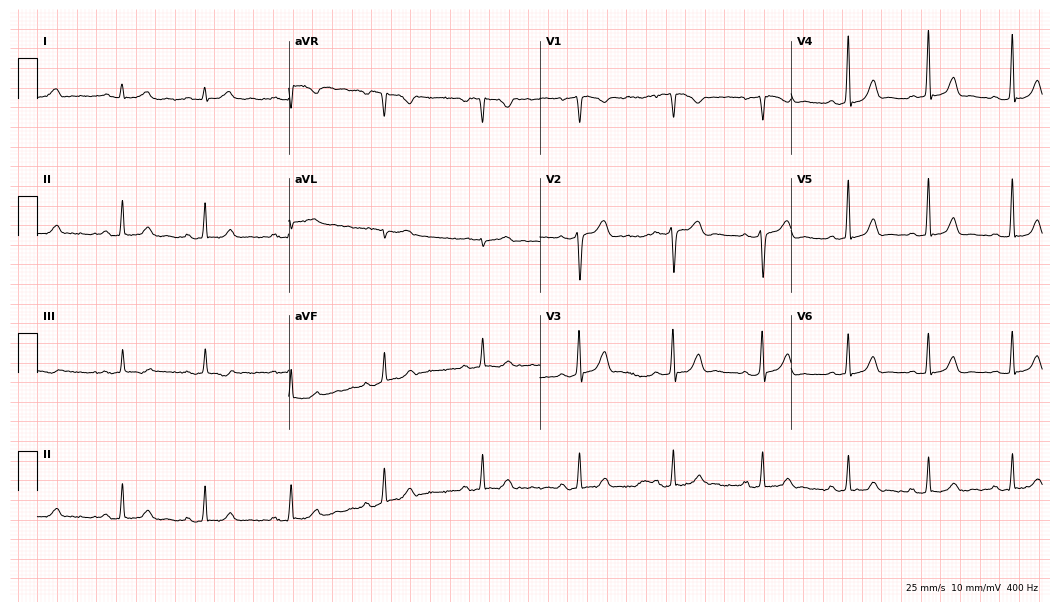
12-lead ECG (10.2-second recording at 400 Hz) from a female, 32 years old. Screened for six findings — first-degree AV block, right bundle branch block (RBBB), left bundle branch block (LBBB), sinus bradycardia, atrial fibrillation (AF), sinus tachycardia — none is recorded. Findings outside these six are not listed.